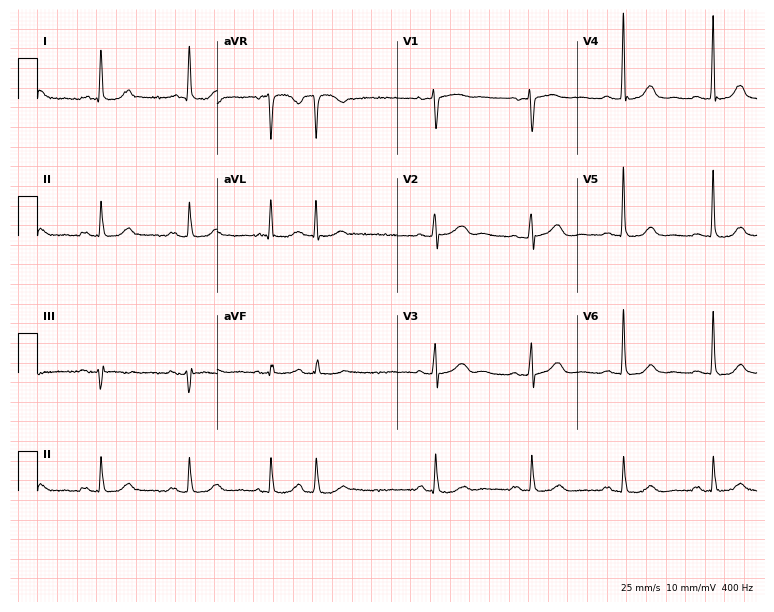
Resting 12-lead electrocardiogram. Patient: a female, 80 years old. None of these six findings is recorded: first-degree AV block, right bundle branch block, left bundle branch block, sinus bradycardia, atrial fibrillation, sinus tachycardia. Findings outside these six are not listed.